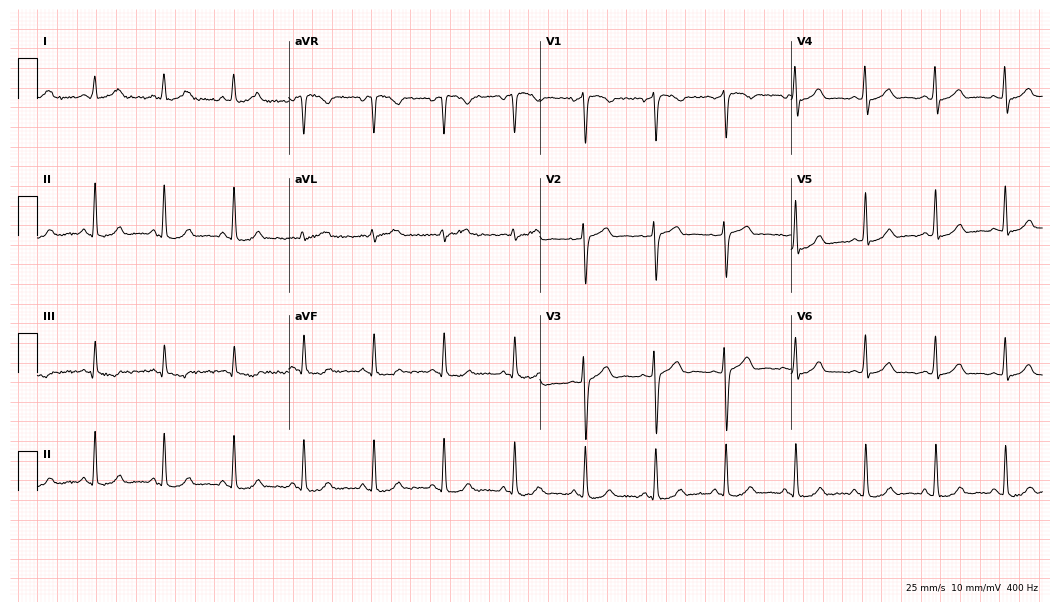
Electrocardiogram (10.2-second recording at 400 Hz), a woman, 57 years old. Of the six screened findings (first-degree AV block, right bundle branch block (RBBB), left bundle branch block (LBBB), sinus bradycardia, atrial fibrillation (AF), sinus tachycardia), none is recorded.